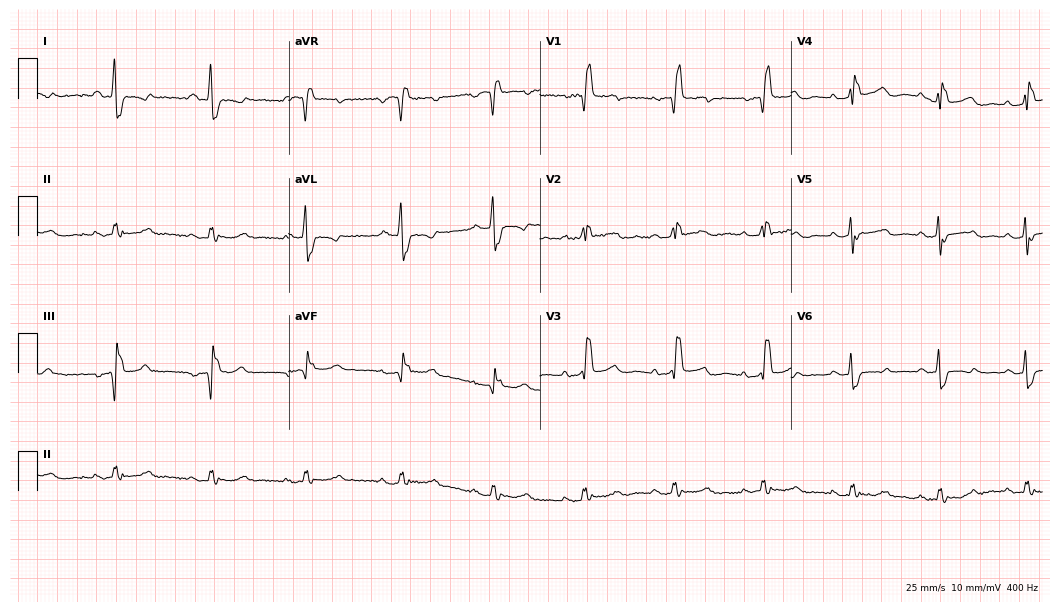
Electrocardiogram, a woman, 63 years old. Interpretation includes right bundle branch block (RBBB).